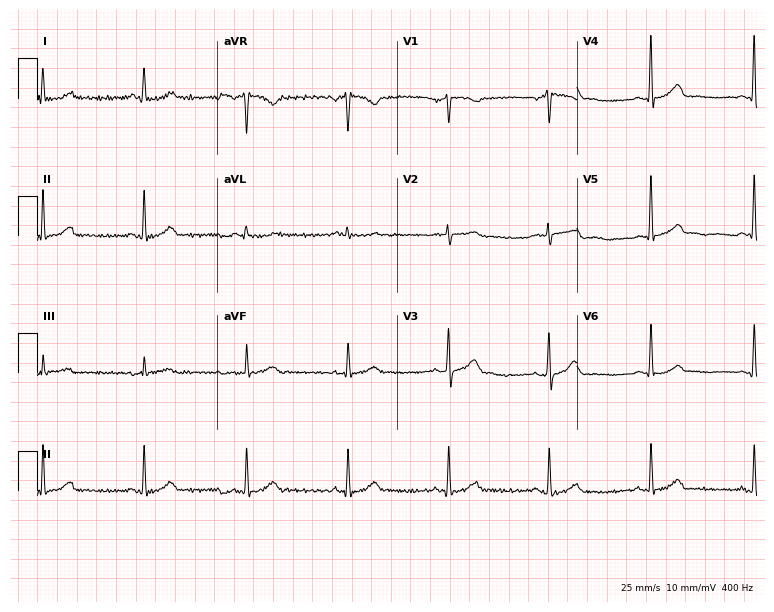
ECG (7.3-second recording at 400 Hz) — a male, 63 years old. Labelled as a normal ECG.